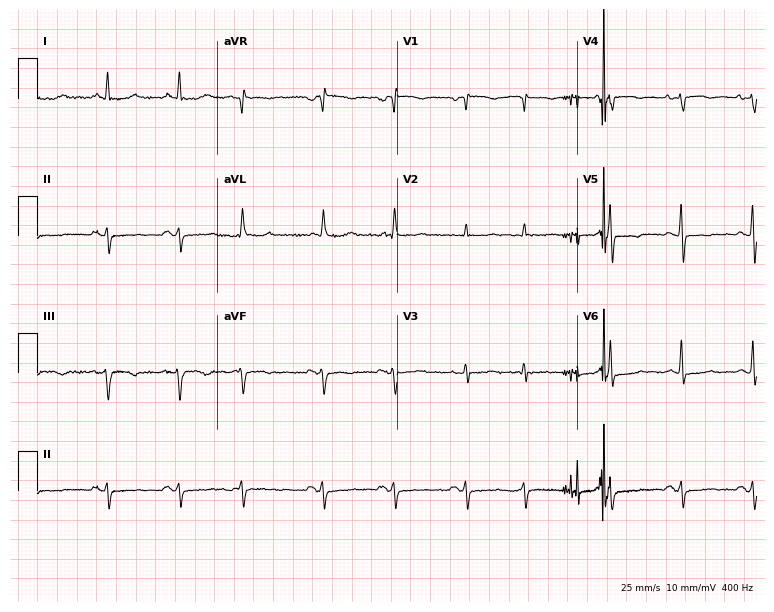
12-lead ECG from a 67-year-old female (7.3-second recording at 400 Hz). No first-degree AV block, right bundle branch block, left bundle branch block, sinus bradycardia, atrial fibrillation or sinus tachycardia recorded for this tracing.